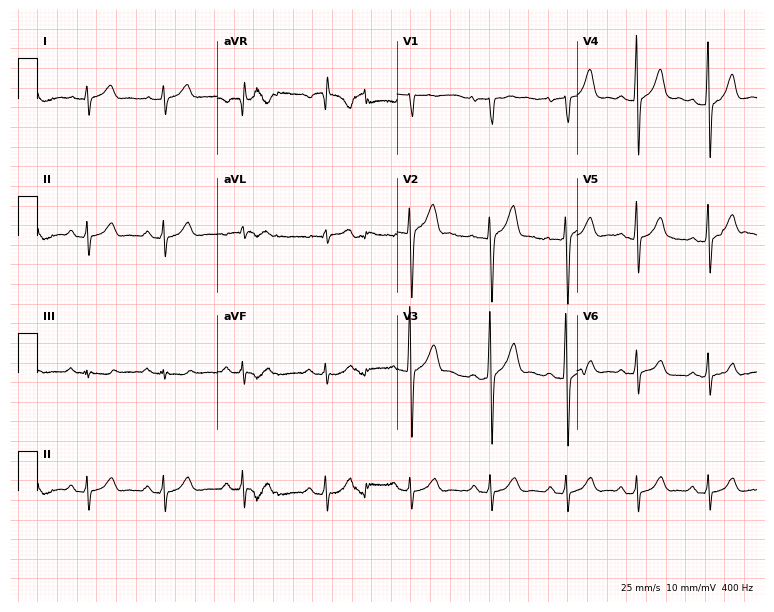
ECG — a male patient, 42 years old. Labelled as a normal ECG.